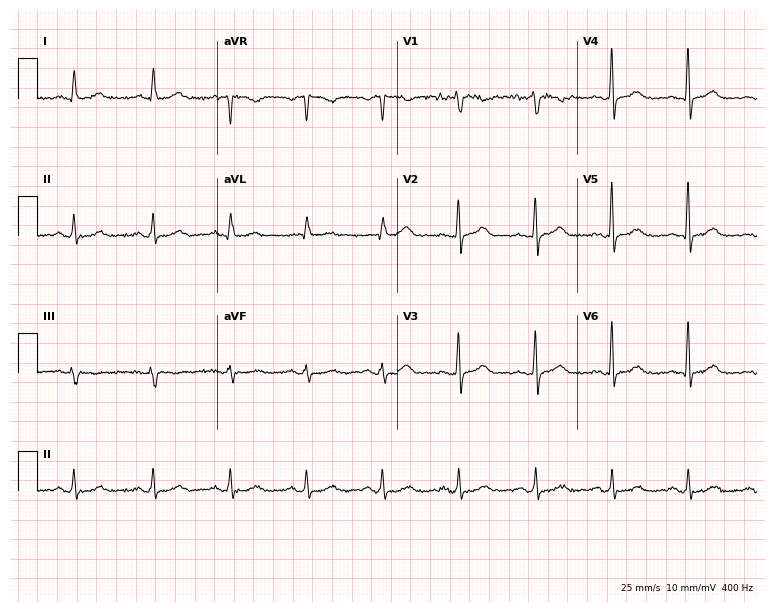
12-lead ECG from a woman, 49 years old (7.3-second recording at 400 Hz). Recorded interpretation: within normal limits.